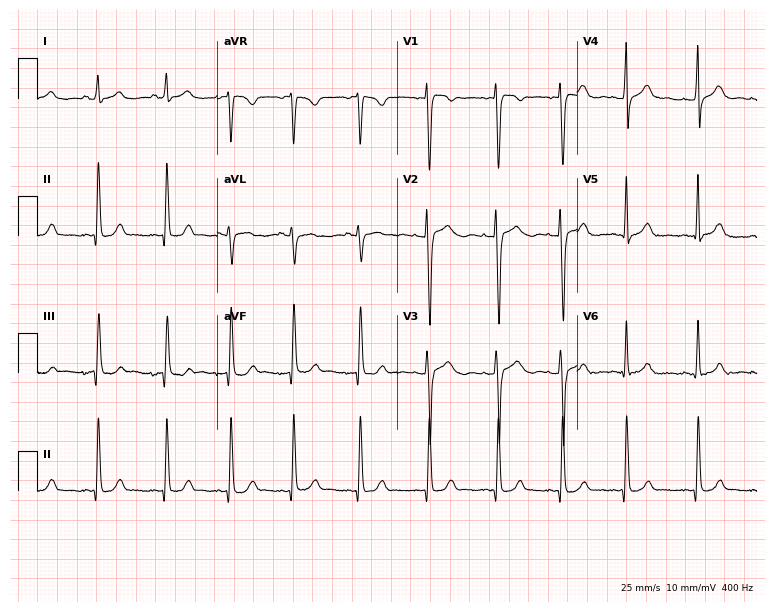
Resting 12-lead electrocardiogram. Patient: a female, 17 years old. None of these six findings is recorded: first-degree AV block, right bundle branch block (RBBB), left bundle branch block (LBBB), sinus bradycardia, atrial fibrillation (AF), sinus tachycardia.